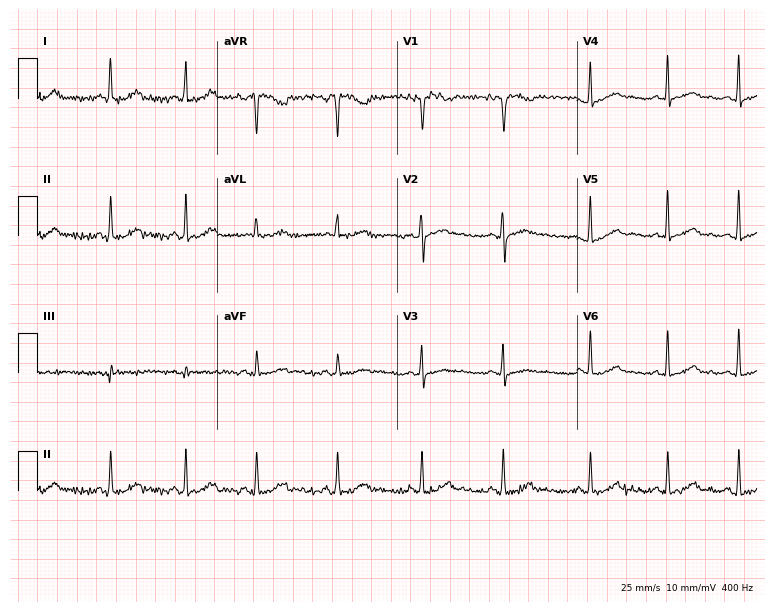
Resting 12-lead electrocardiogram. Patient: a 34-year-old female. Read as a normal ECG.